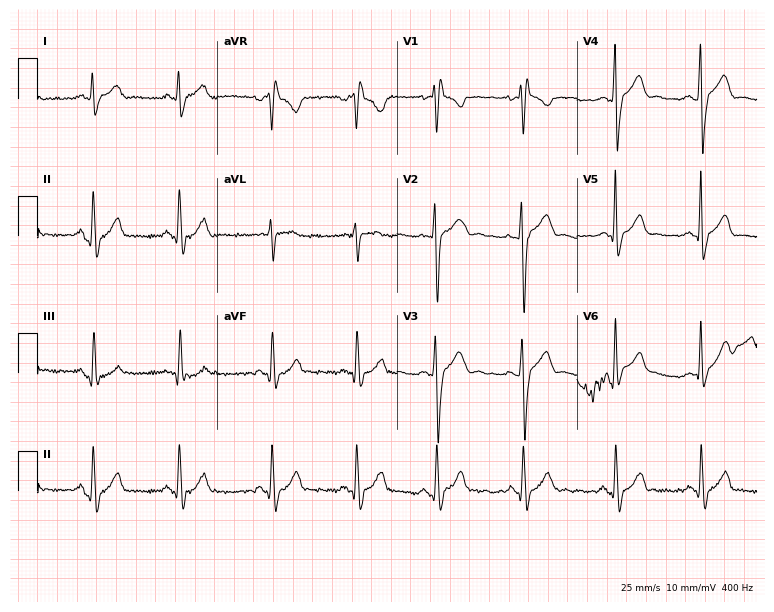
12-lead ECG (7.3-second recording at 400 Hz) from a male patient, 22 years old. Findings include right bundle branch block (RBBB).